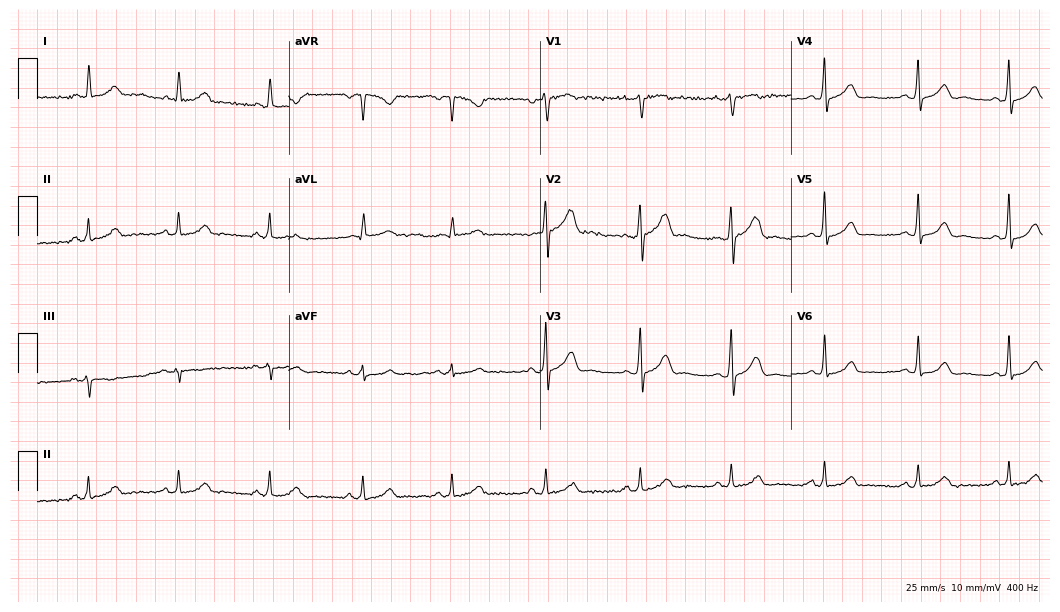
Electrocardiogram (10.2-second recording at 400 Hz), a 59-year-old male. Overall reading on record: normal ECG.